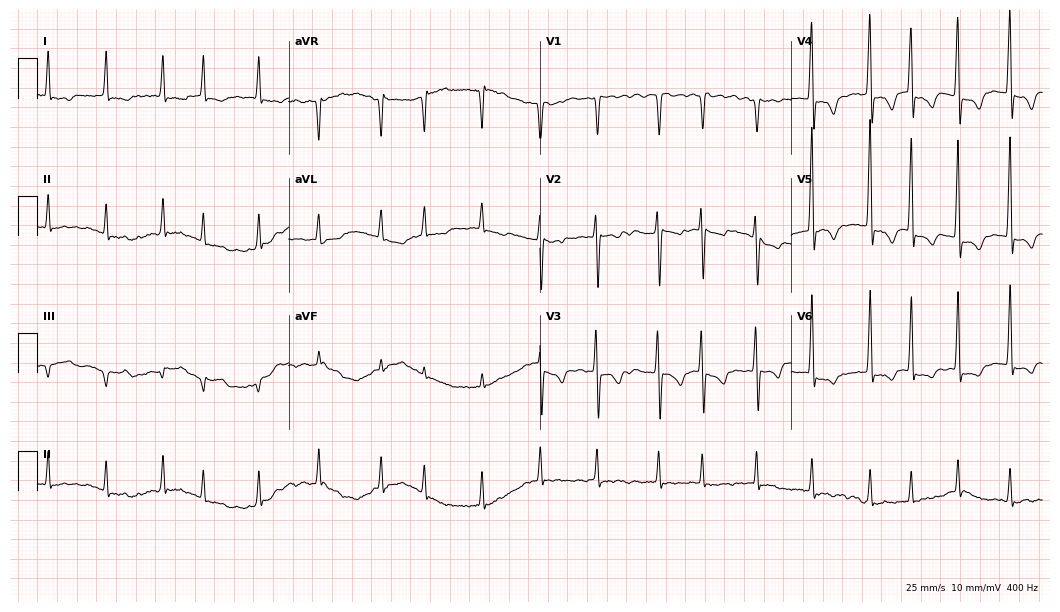
Electrocardiogram (10.2-second recording at 400 Hz), an 82-year-old female patient. Interpretation includes atrial fibrillation.